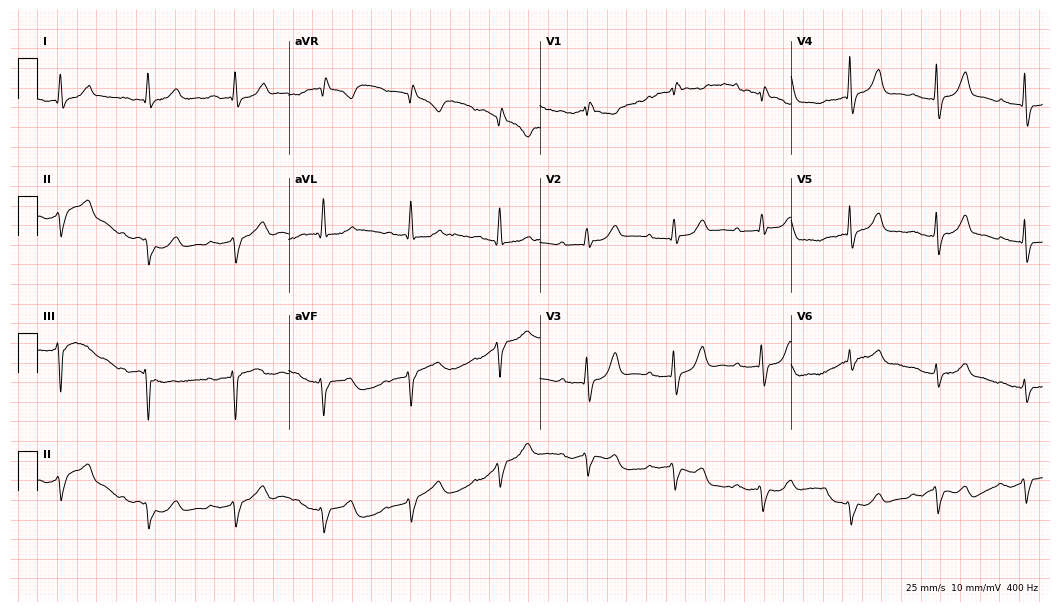
12-lead ECG from a woman, 81 years old. No first-degree AV block, right bundle branch block (RBBB), left bundle branch block (LBBB), sinus bradycardia, atrial fibrillation (AF) or sinus tachycardia recorded for this tracing. Findings outside these six are not listed.